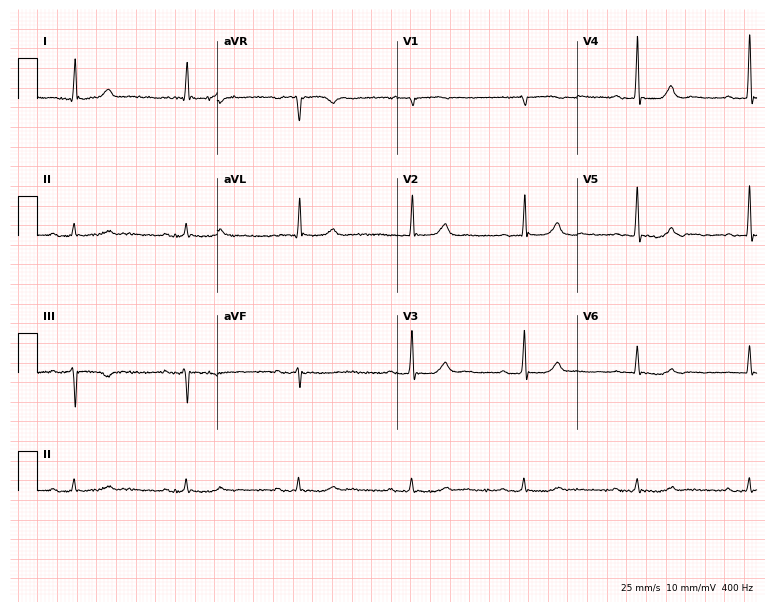
Electrocardiogram (7.3-second recording at 400 Hz), an 85-year-old male patient. Overall reading on record: normal ECG.